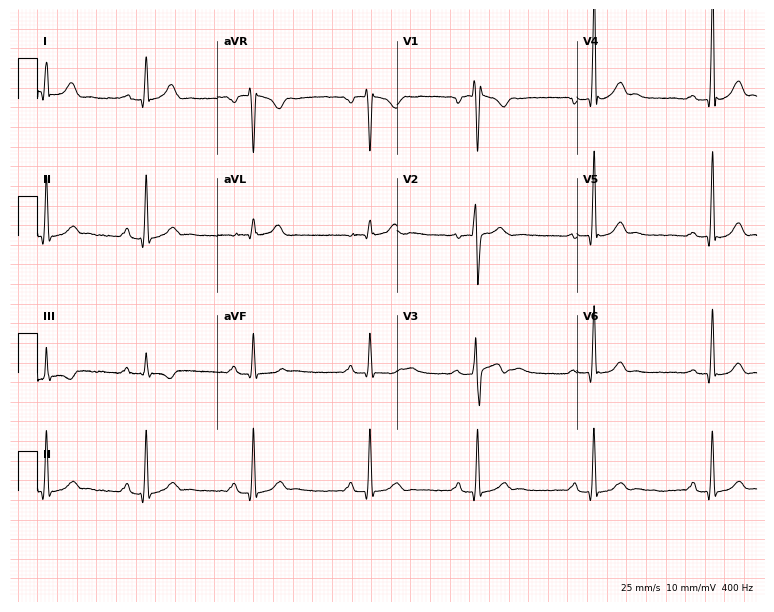
ECG — a male patient, 26 years old. Labelled as a normal ECG.